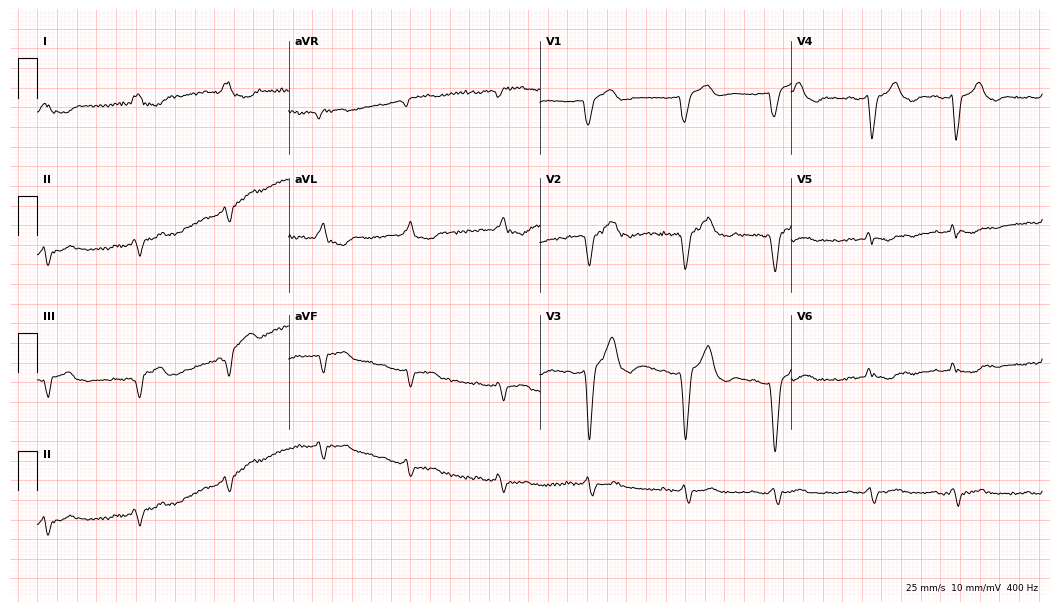
Electrocardiogram (10.2-second recording at 400 Hz), a 76-year-old man. Interpretation includes left bundle branch block.